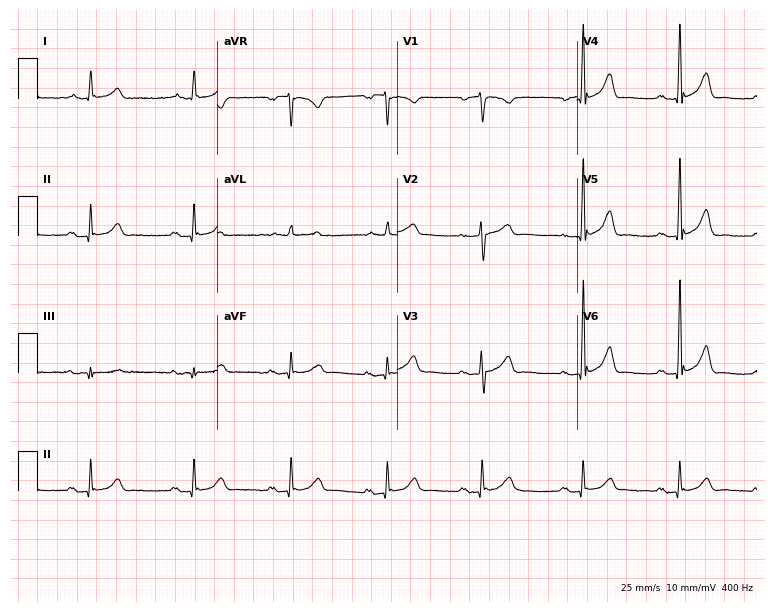
12-lead ECG from a 72-year-old male. No first-degree AV block, right bundle branch block, left bundle branch block, sinus bradycardia, atrial fibrillation or sinus tachycardia recorded for this tracing. Other findings, if any, are not listed.